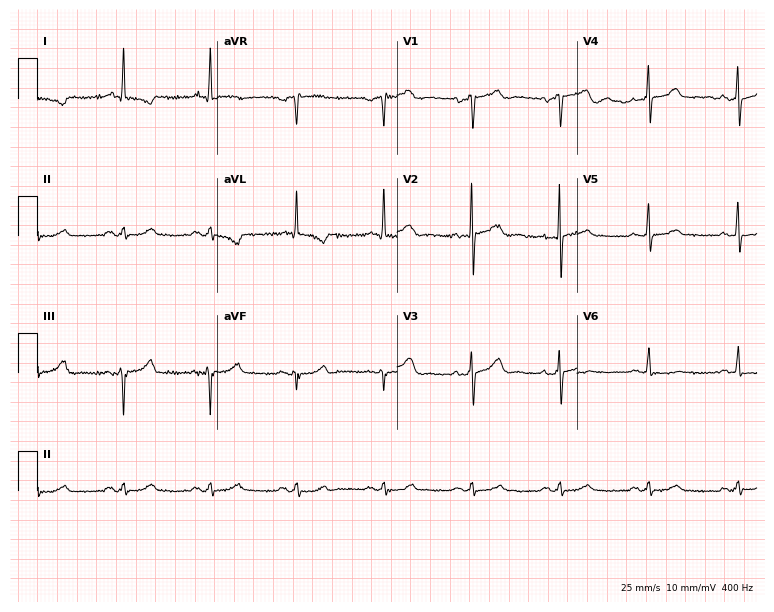
12-lead ECG from a 50-year-old male. Screened for six findings — first-degree AV block, right bundle branch block, left bundle branch block, sinus bradycardia, atrial fibrillation, sinus tachycardia — none is recorded.